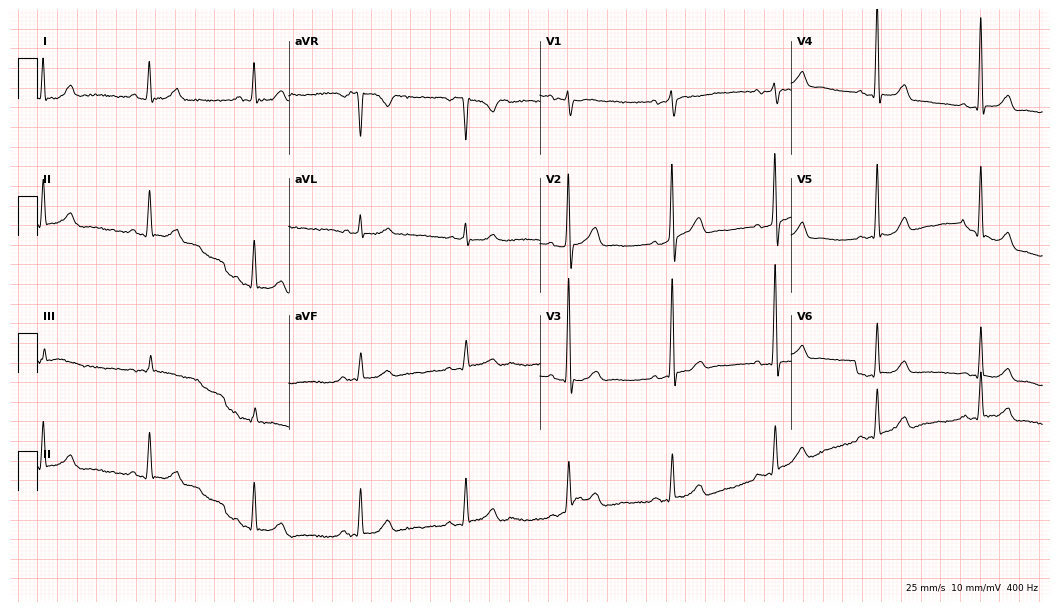
Standard 12-lead ECG recorded from a man, 68 years old (10.2-second recording at 400 Hz). Read as a normal ECG.